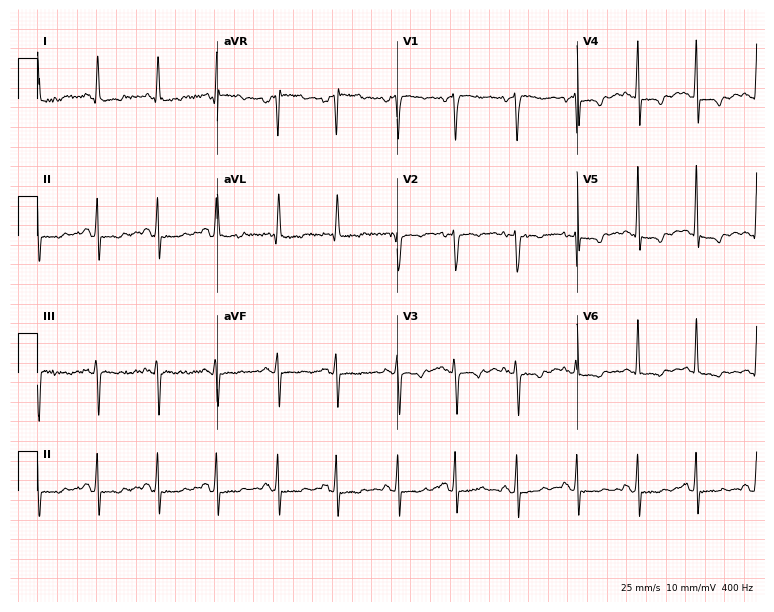
Resting 12-lead electrocardiogram (7.3-second recording at 400 Hz). Patient: a 60-year-old female. None of these six findings is recorded: first-degree AV block, right bundle branch block, left bundle branch block, sinus bradycardia, atrial fibrillation, sinus tachycardia.